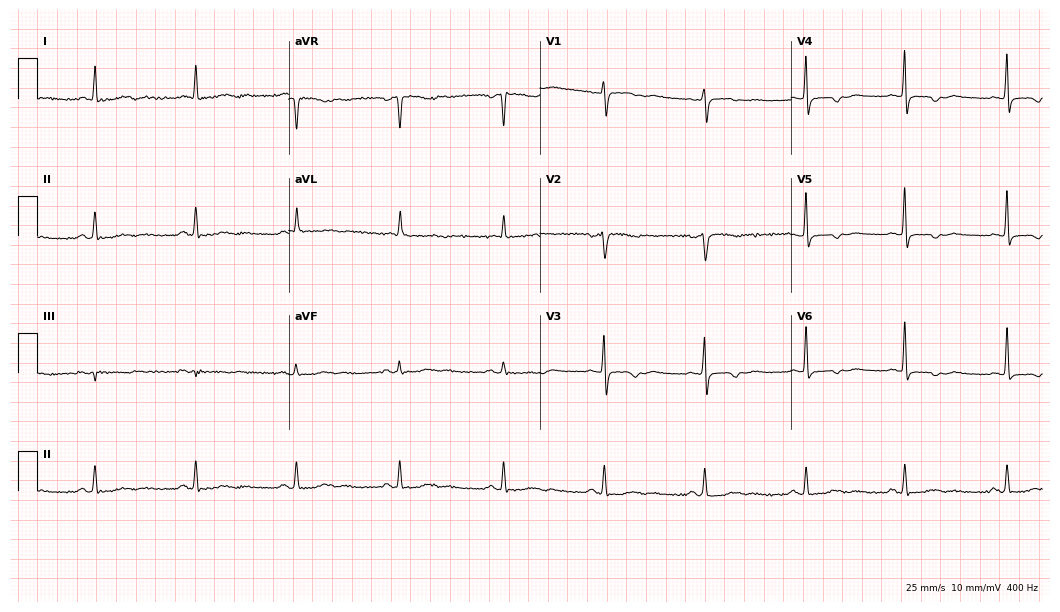
Electrocardiogram, a 73-year-old female patient. Of the six screened findings (first-degree AV block, right bundle branch block, left bundle branch block, sinus bradycardia, atrial fibrillation, sinus tachycardia), none is recorded. Other findings, if any, are not listed.